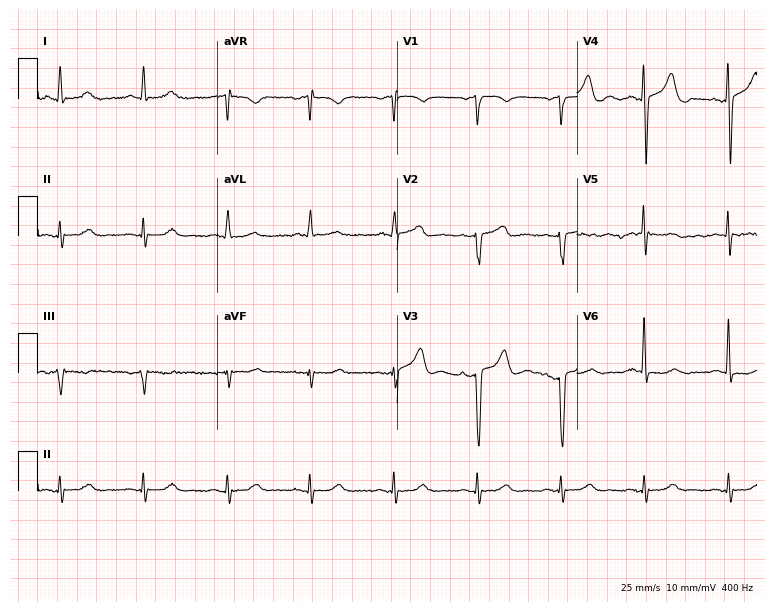
ECG (7.3-second recording at 400 Hz) — a male, 78 years old. Labelled as a normal ECG.